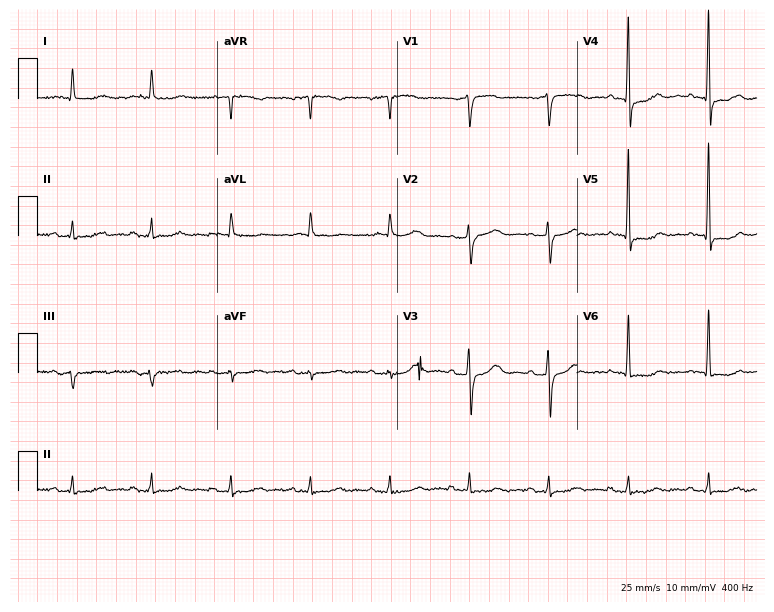
12-lead ECG from a male, 85 years old (7.3-second recording at 400 Hz). No first-degree AV block, right bundle branch block, left bundle branch block, sinus bradycardia, atrial fibrillation or sinus tachycardia recorded for this tracing. Only these six findings were labelled.